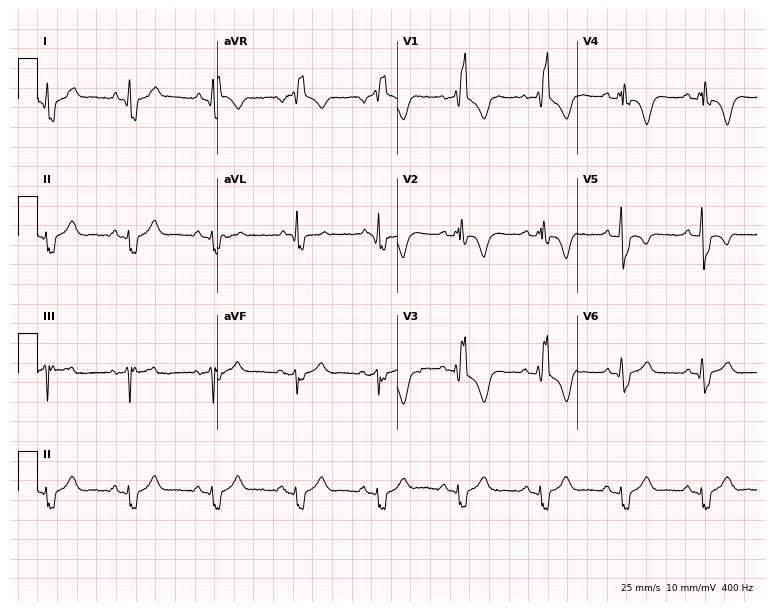
Electrocardiogram (7.3-second recording at 400 Hz), a male, 54 years old. Interpretation includes right bundle branch block (RBBB).